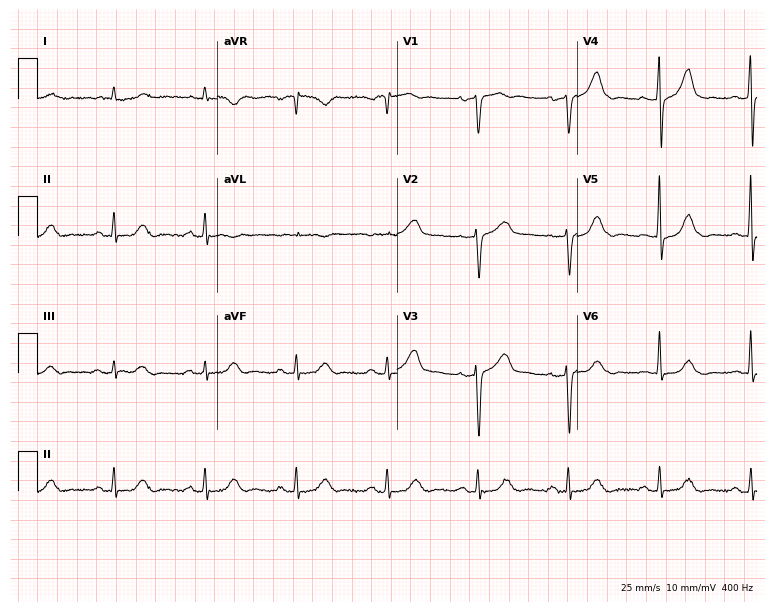
ECG (7.3-second recording at 400 Hz) — an 84-year-old man. Screened for six findings — first-degree AV block, right bundle branch block, left bundle branch block, sinus bradycardia, atrial fibrillation, sinus tachycardia — none is recorded.